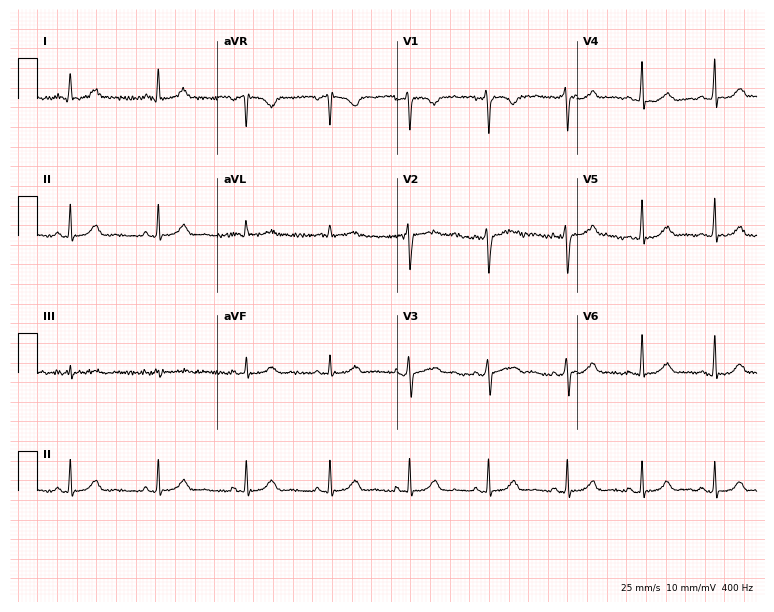
Standard 12-lead ECG recorded from a 33-year-old female (7.3-second recording at 400 Hz). Read as a normal ECG.